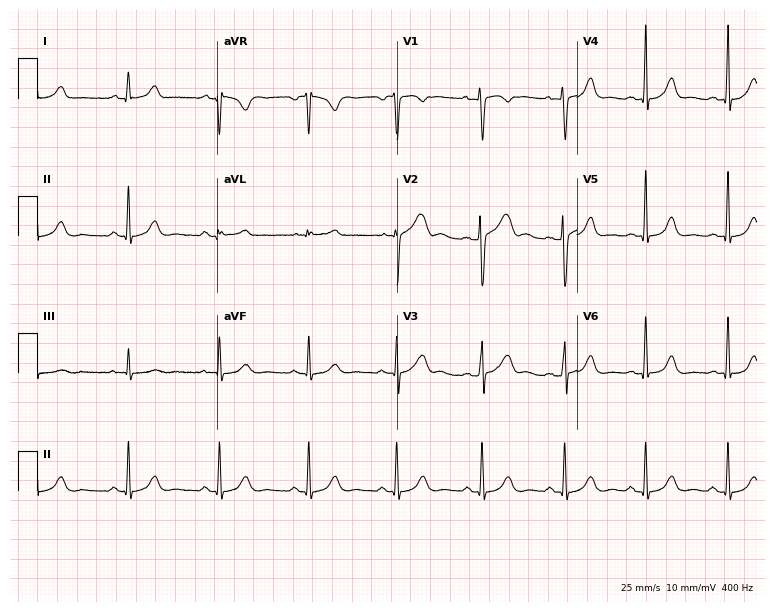
Electrocardiogram (7.3-second recording at 400 Hz), a 32-year-old female. Overall reading on record: normal ECG.